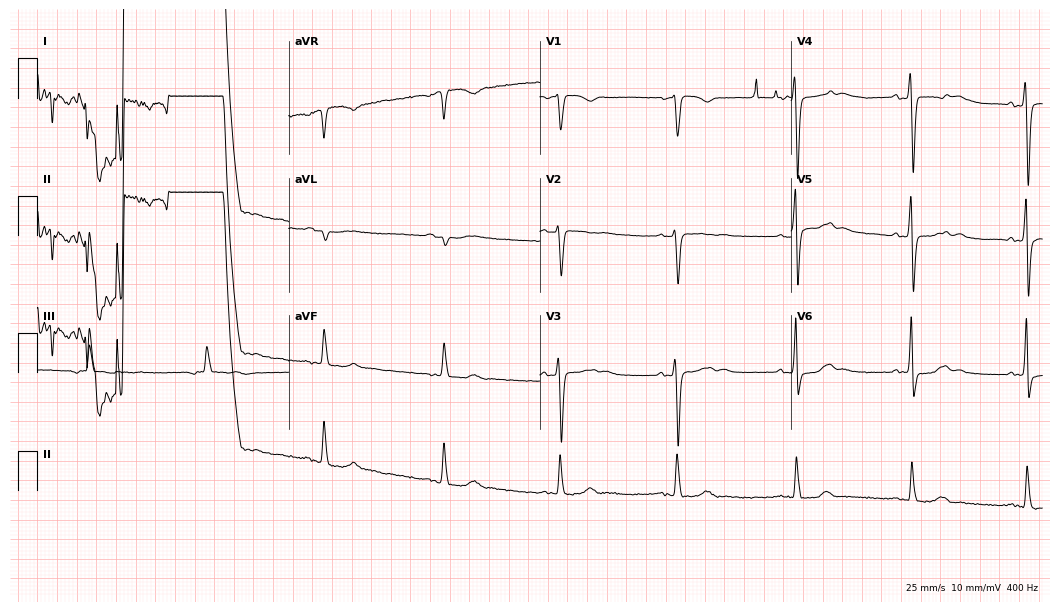
Electrocardiogram (10.2-second recording at 400 Hz), a man, 78 years old. Of the six screened findings (first-degree AV block, right bundle branch block (RBBB), left bundle branch block (LBBB), sinus bradycardia, atrial fibrillation (AF), sinus tachycardia), none is recorded.